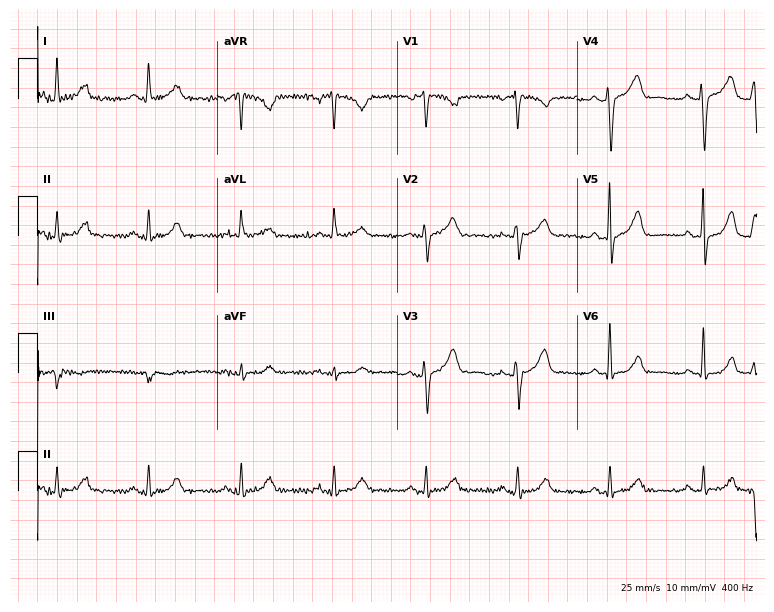
12-lead ECG from a 33-year-old female patient (7.3-second recording at 400 Hz). Recorded interpretation: within normal limits.